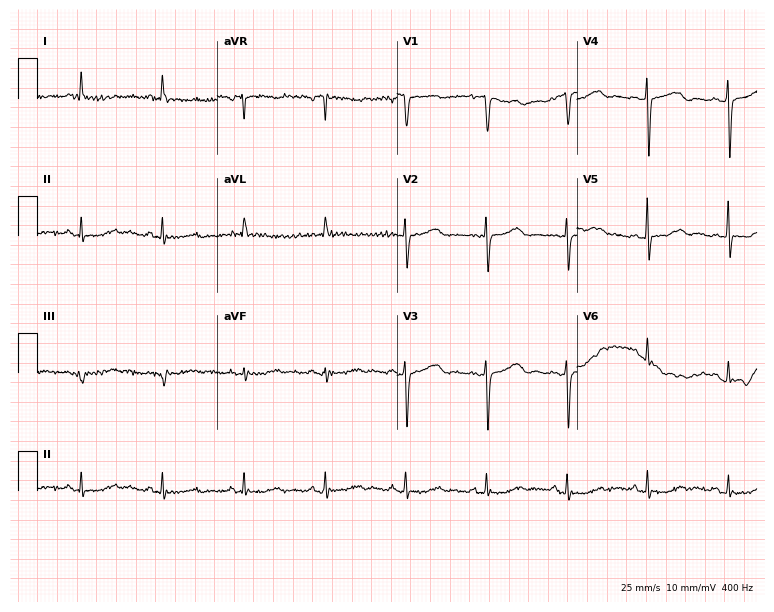
Resting 12-lead electrocardiogram. Patient: an 81-year-old female. None of these six findings is recorded: first-degree AV block, right bundle branch block, left bundle branch block, sinus bradycardia, atrial fibrillation, sinus tachycardia.